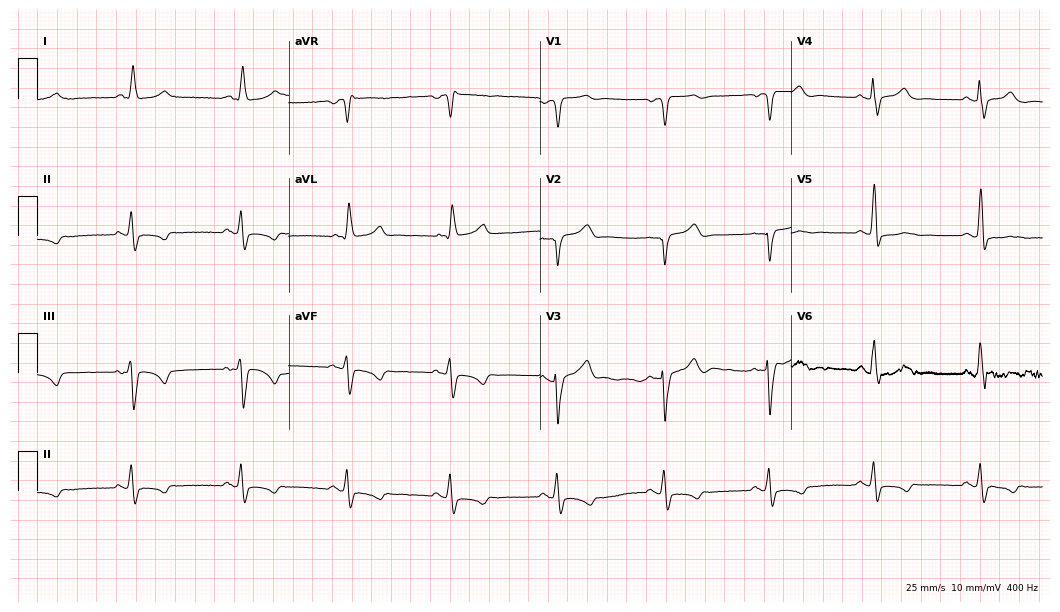
12-lead ECG from a male, 70 years old. No first-degree AV block, right bundle branch block (RBBB), left bundle branch block (LBBB), sinus bradycardia, atrial fibrillation (AF) or sinus tachycardia recorded for this tracing.